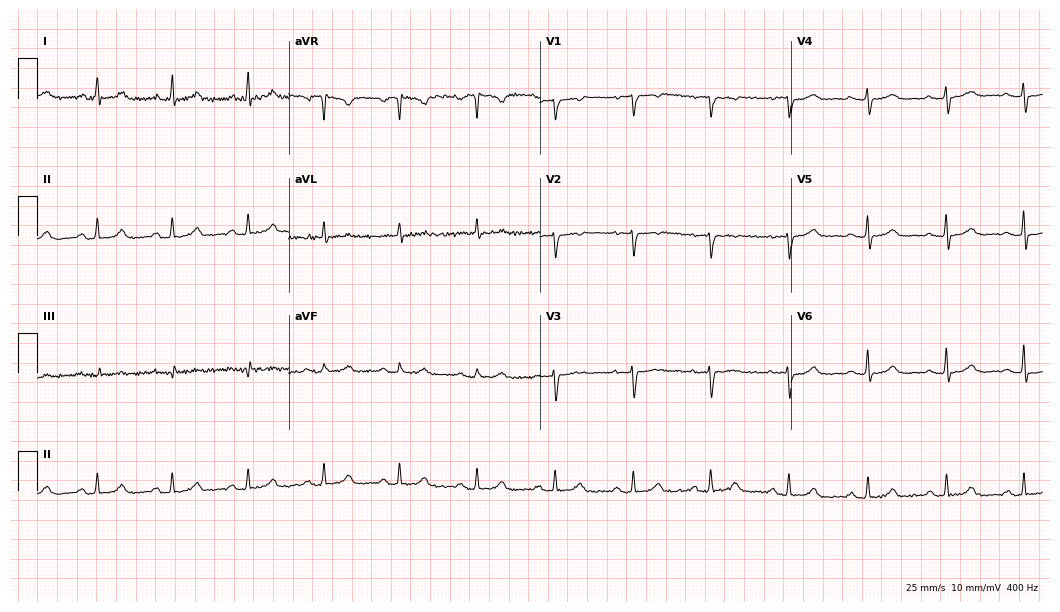
12-lead ECG from a female, 20 years old. Labelled as a normal ECG.